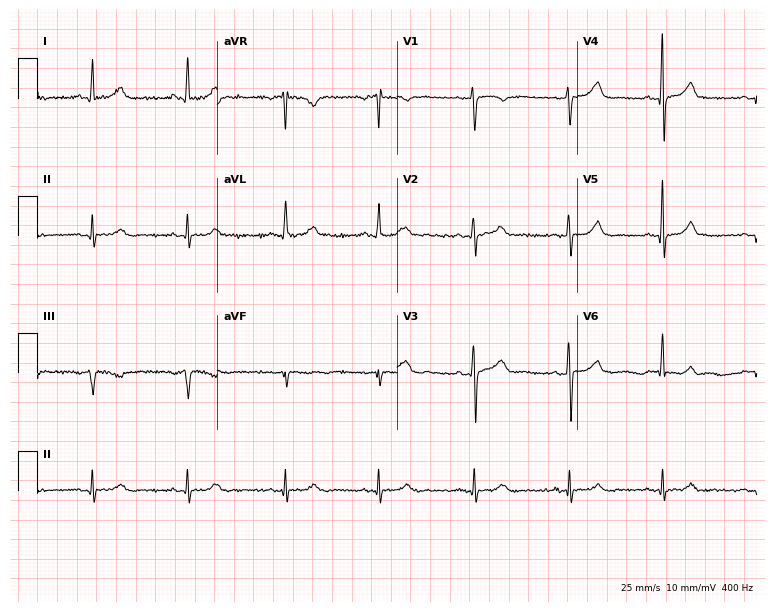
12-lead ECG from a female, 49 years old. Labelled as a normal ECG.